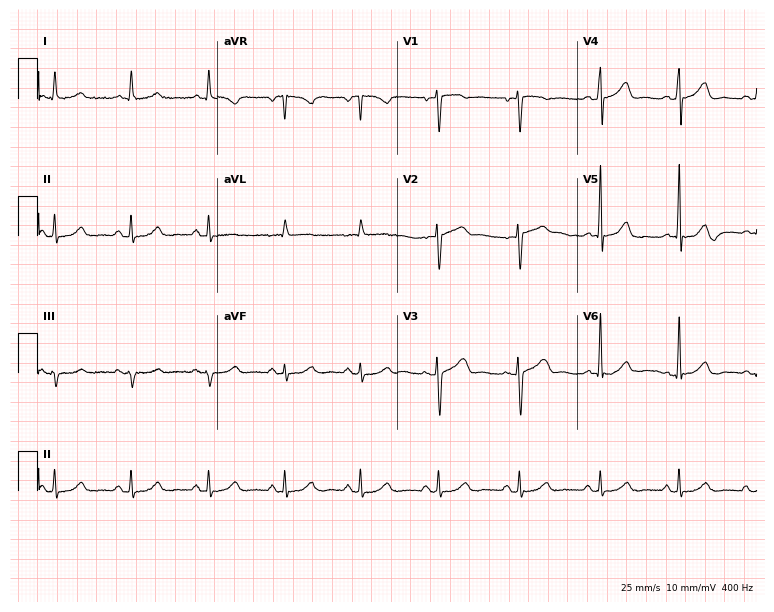
Standard 12-lead ECG recorded from a 59-year-old woman. Read as a normal ECG.